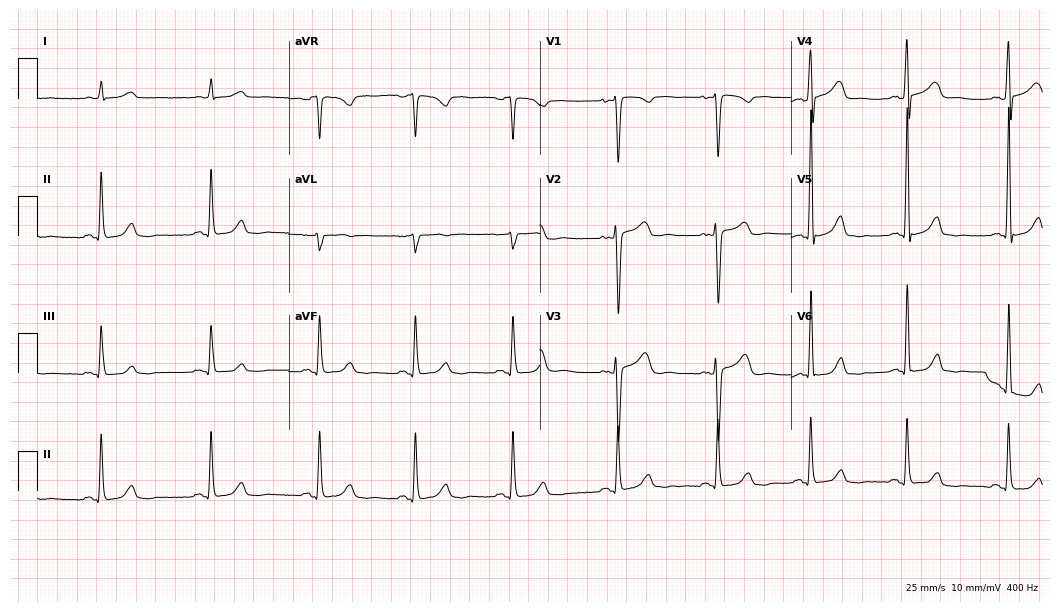
Standard 12-lead ECG recorded from a 45-year-old female patient. Read as a normal ECG.